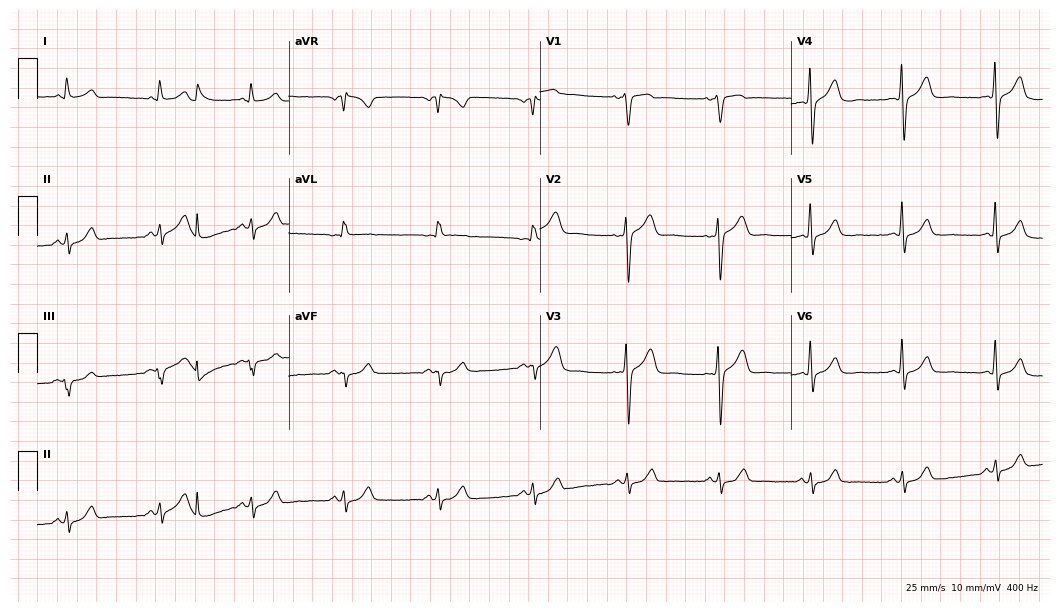
ECG — a 42-year-old female. Labelled as a normal ECG.